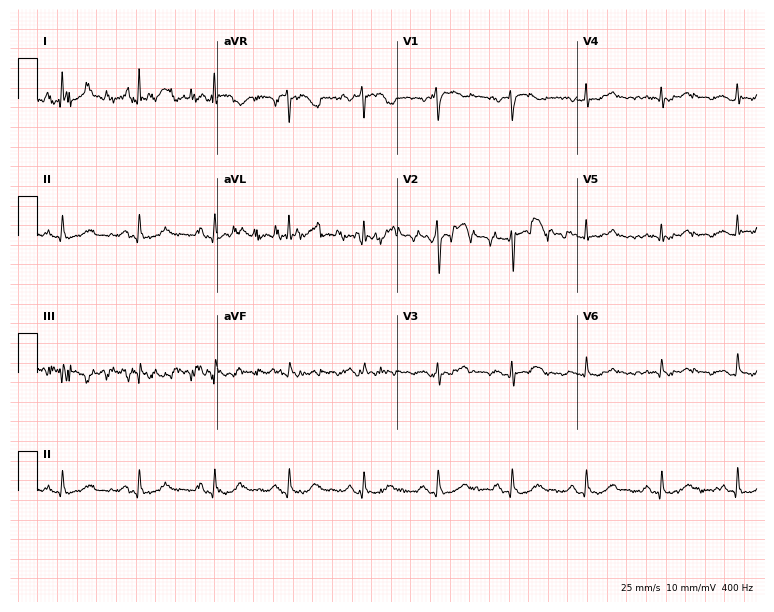
Resting 12-lead electrocardiogram (7.3-second recording at 400 Hz). Patient: a woman, 68 years old. None of these six findings is recorded: first-degree AV block, right bundle branch block, left bundle branch block, sinus bradycardia, atrial fibrillation, sinus tachycardia.